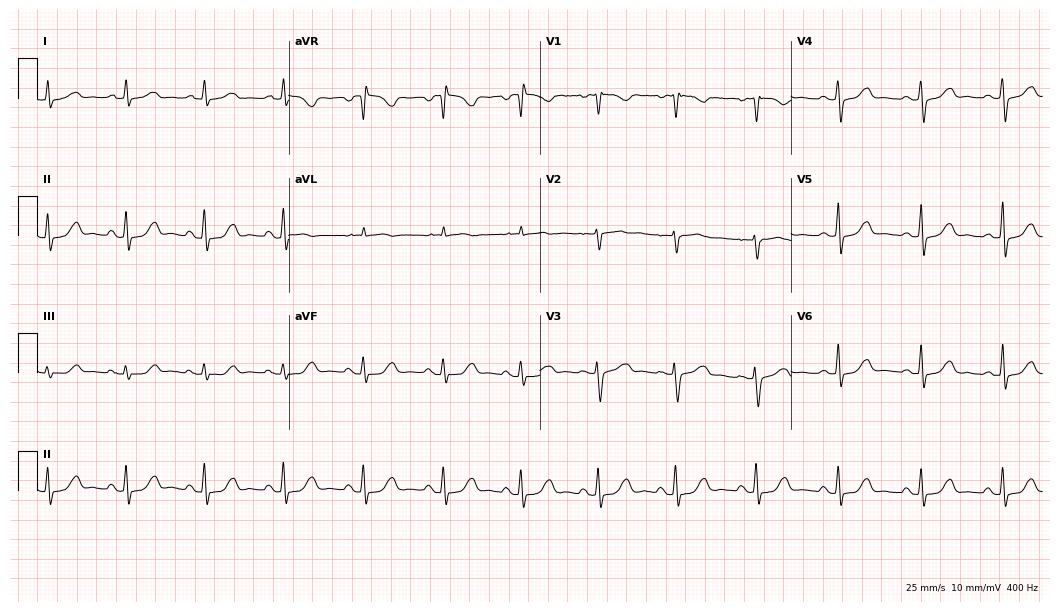
Electrocardiogram, a 54-year-old female. Overall reading on record: normal ECG.